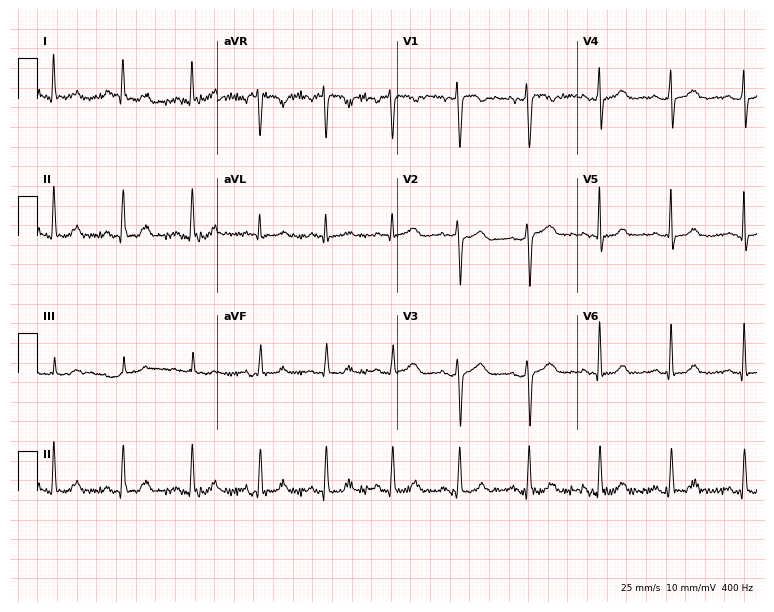
Electrocardiogram, a 36-year-old woman. Of the six screened findings (first-degree AV block, right bundle branch block, left bundle branch block, sinus bradycardia, atrial fibrillation, sinus tachycardia), none is recorded. Other findings, if any, are not listed.